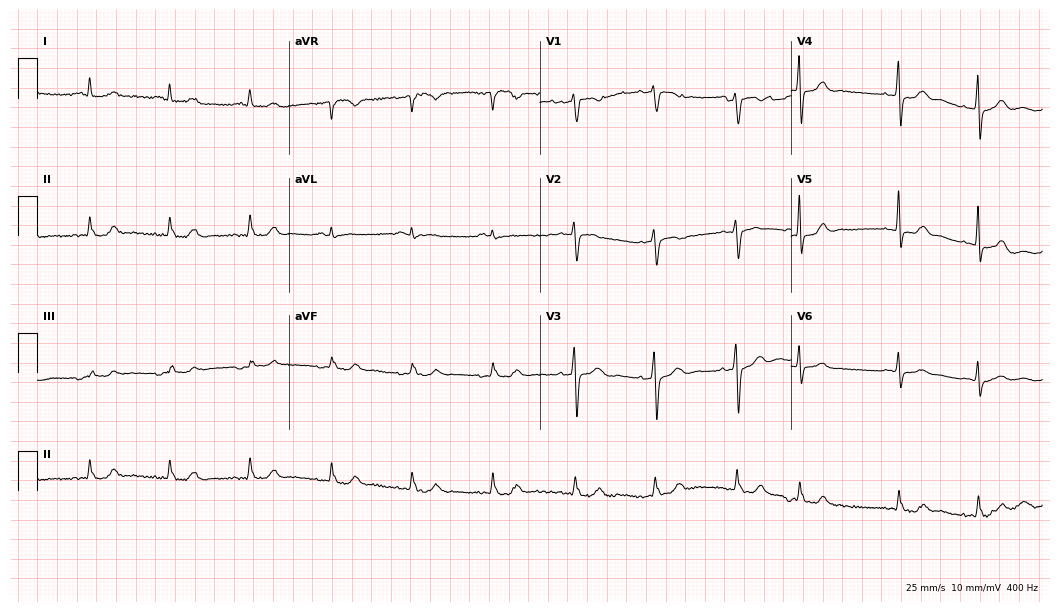
ECG (10.2-second recording at 400 Hz) — a 73-year-old male patient. Labelled as a normal ECG.